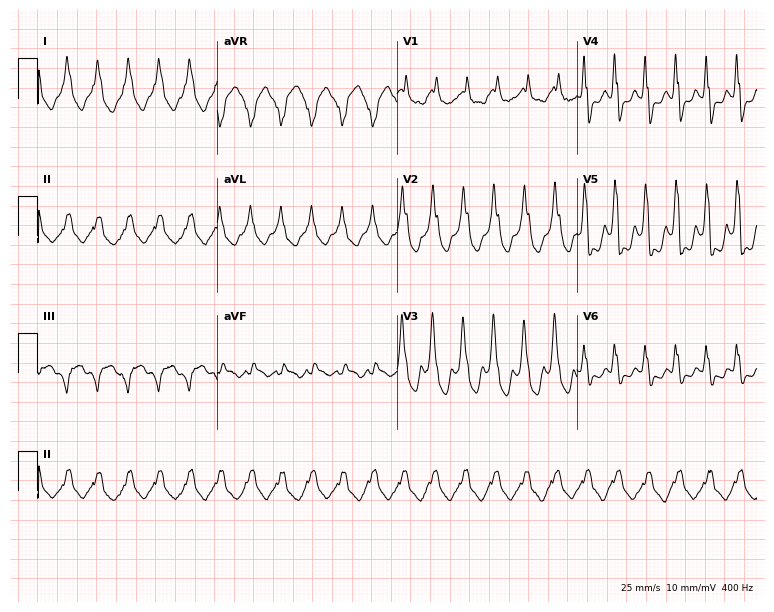
ECG (7.3-second recording at 400 Hz) — a male patient, 59 years old. Screened for six findings — first-degree AV block, right bundle branch block (RBBB), left bundle branch block (LBBB), sinus bradycardia, atrial fibrillation (AF), sinus tachycardia — none is recorded. Other findings, if any, are not listed.